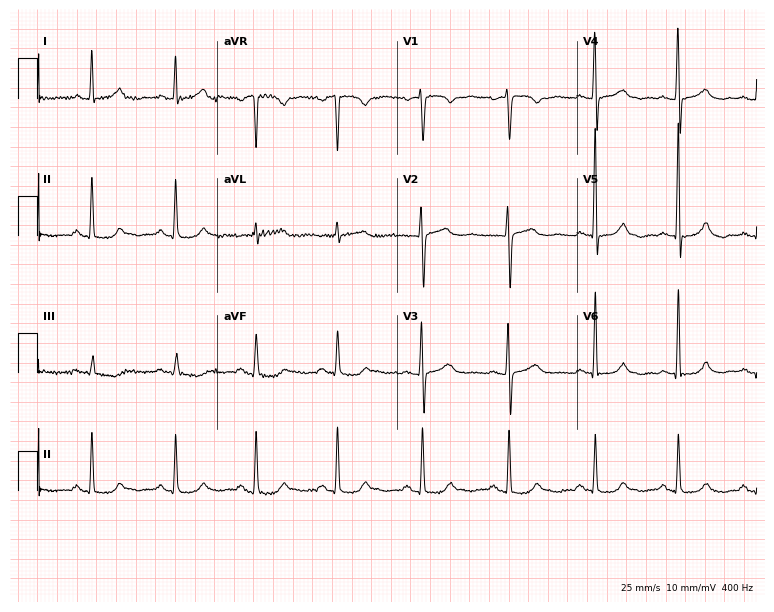
12-lead ECG (7.3-second recording at 400 Hz) from a 64-year-old woman. Labelled as a normal ECG.